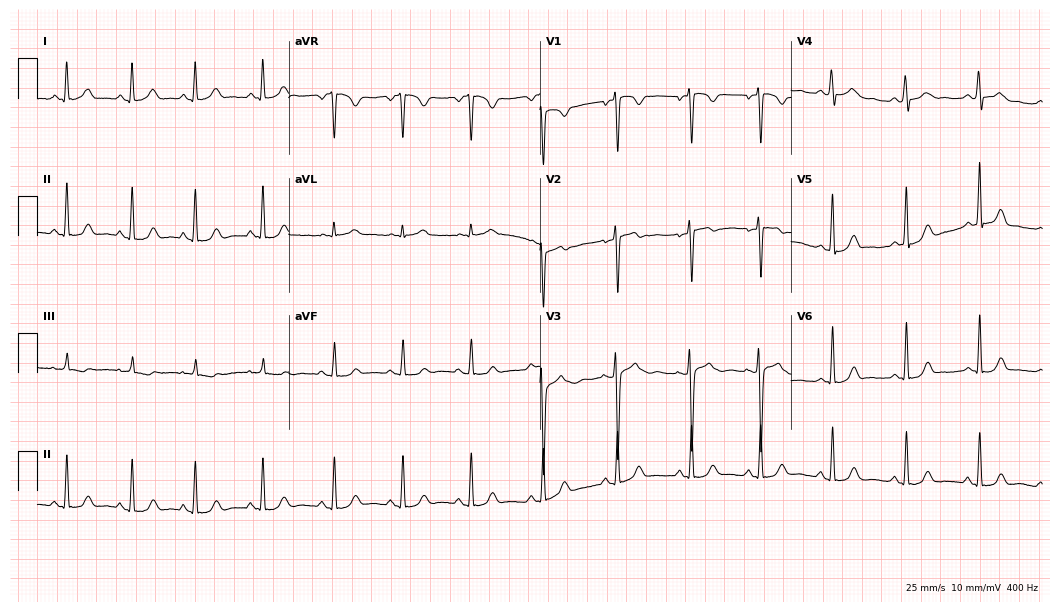
12-lead ECG (10.2-second recording at 400 Hz) from a 28-year-old female. Screened for six findings — first-degree AV block, right bundle branch block, left bundle branch block, sinus bradycardia, atrial fibrillation, sinus tachycardia — none is recorded. Other findings, if any, are not listed.